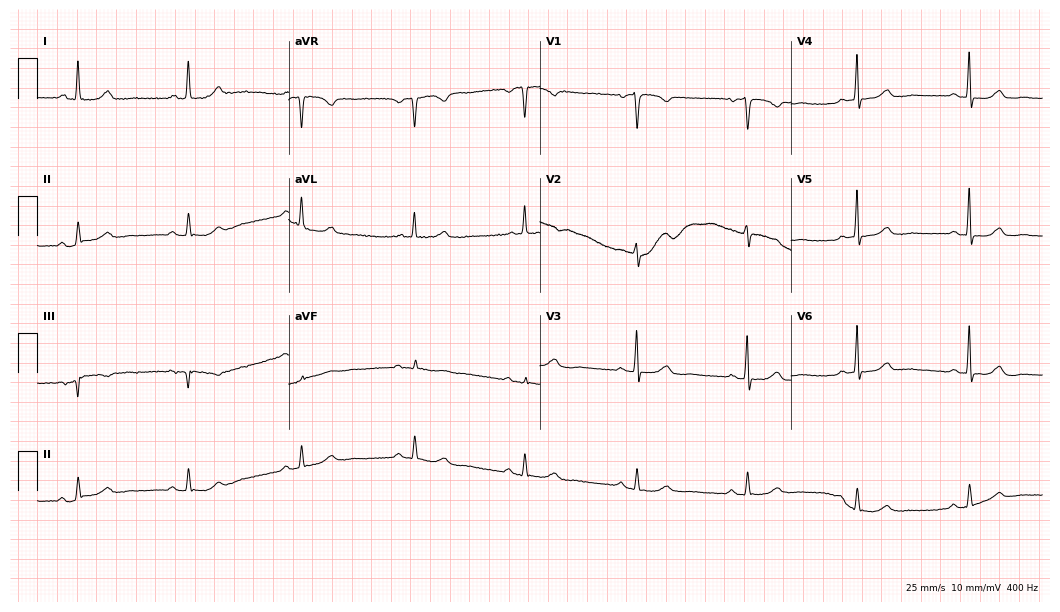
12-lead ECG from a female, 68 years old (10.2-second recording at 400 Hz). Recorded interpretation: within normal limits.